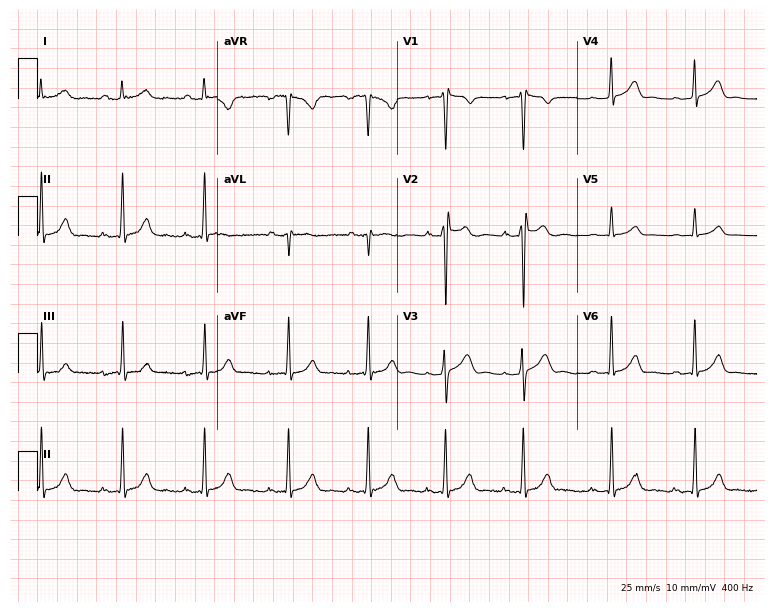
Electrocardiogram (7.3-second recording at 400 Hz), a male, 31 years old. Of the six screened findings (first-degree AV block, right bundle branch block, left bundle branch block, sinus bradycardia, atrial fibrillation, sinus tachycardia), none is recorded. Findings outside these six are not listed.